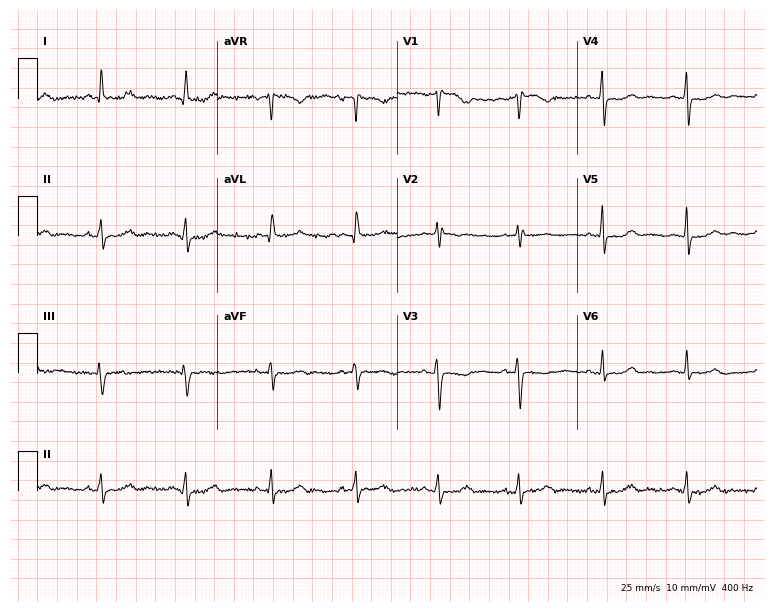
12-lead ECG from a 51-year-old female. Labelled as a normal ECG.